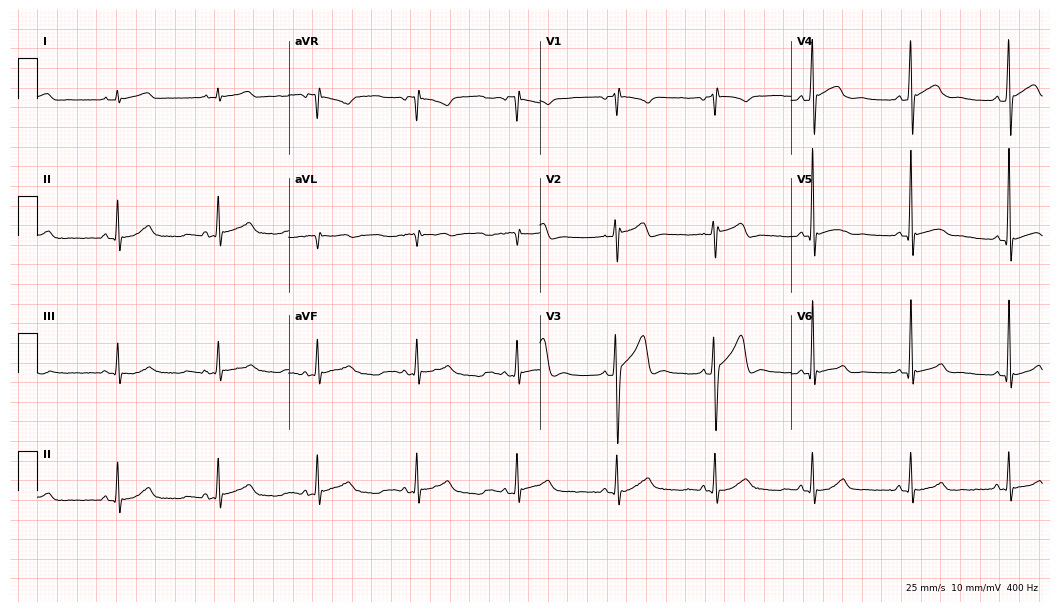
12-lead ECG from a 17-year-old man. Screened for six findings — first-degree AV block, right bundle branch block (RBBB), left bundle branch block (LBBB), sinus bradycardia, atrial fibrillation (AF), sinus tachycardia — none is recorded. Other findings, if any, are not listed.